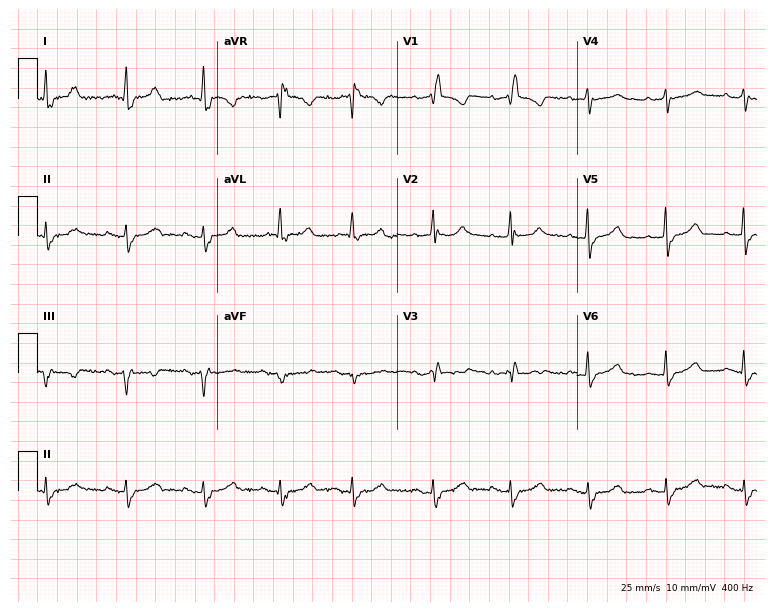
Standard 12-lead ECG recorded from a female patient, 84 years old (7.3-second recording at 400 Hz). The tracing shows right bundle branch block.